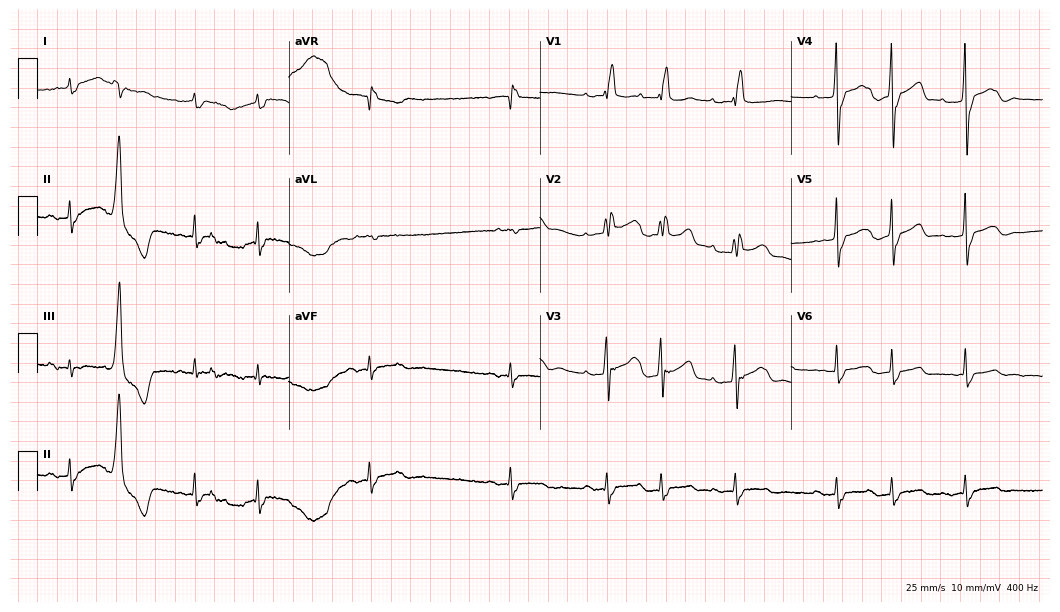
Resting 12-lead electrocardiogram (10.2-second recording at 400 Hz). Patient: a man, 83 years old. None of these six findings is recorded: first-degree AV block, right bundle branch block, left bundle branch block, sinus bradycardia, atrial fibrillation, sinus tachycardia. Findings outside these six are not listed.